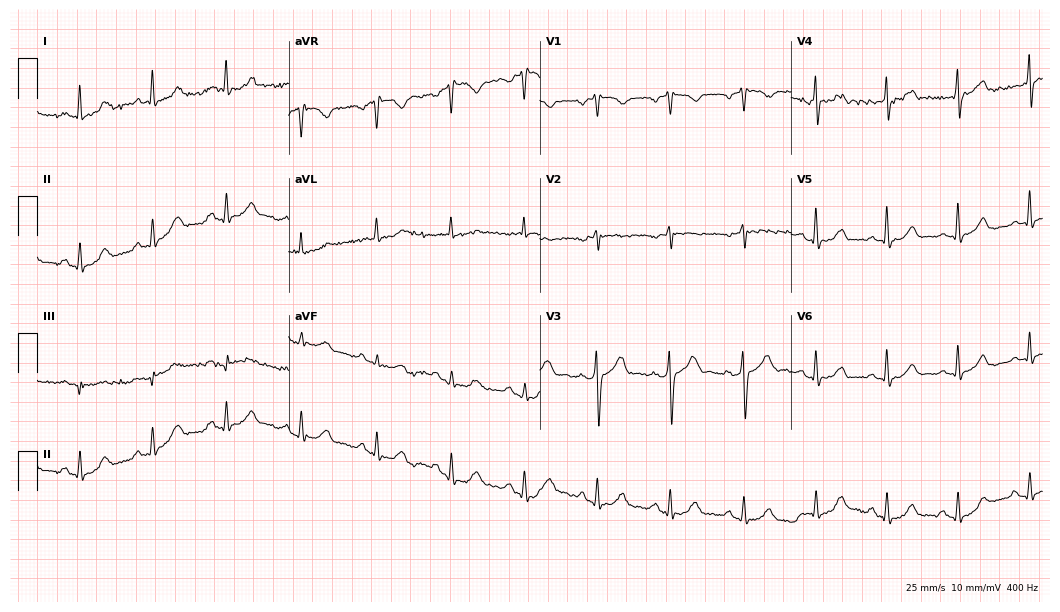
Electrocardiogram (10.2-second recording at 400 Hz), a 66-year-old man. Of the six screened findings (first-degree AV block, right bundle branch block, left bundle branch block, sinus bradycardia, atrial fibrillation, sinus tachycardia), none is recorded. Other findings, if any, are not listed.